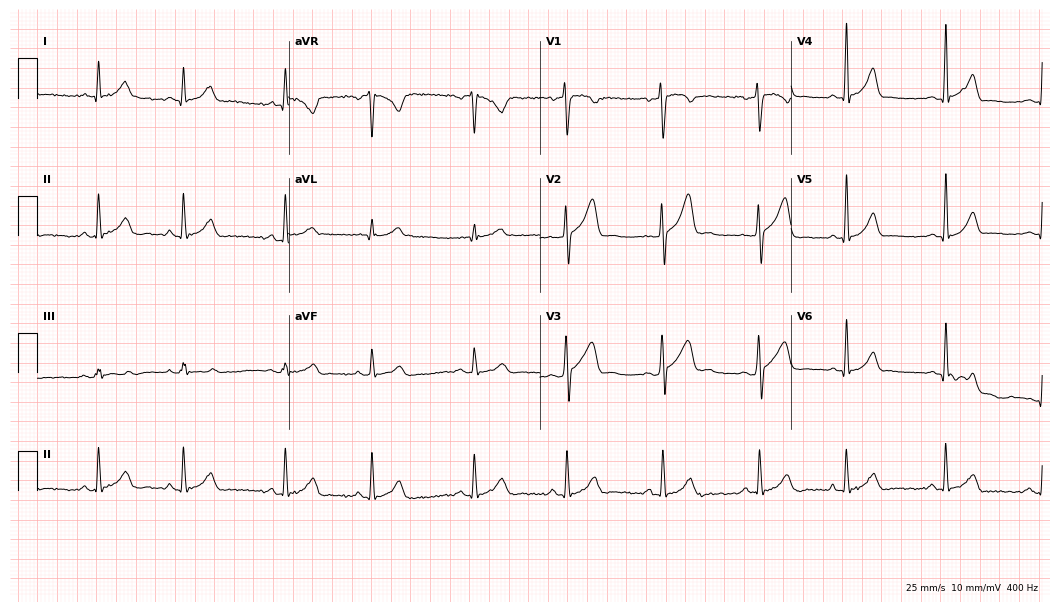
12-lead ECG from a 24-year-old man. Recorded interpretation: within normal limits.